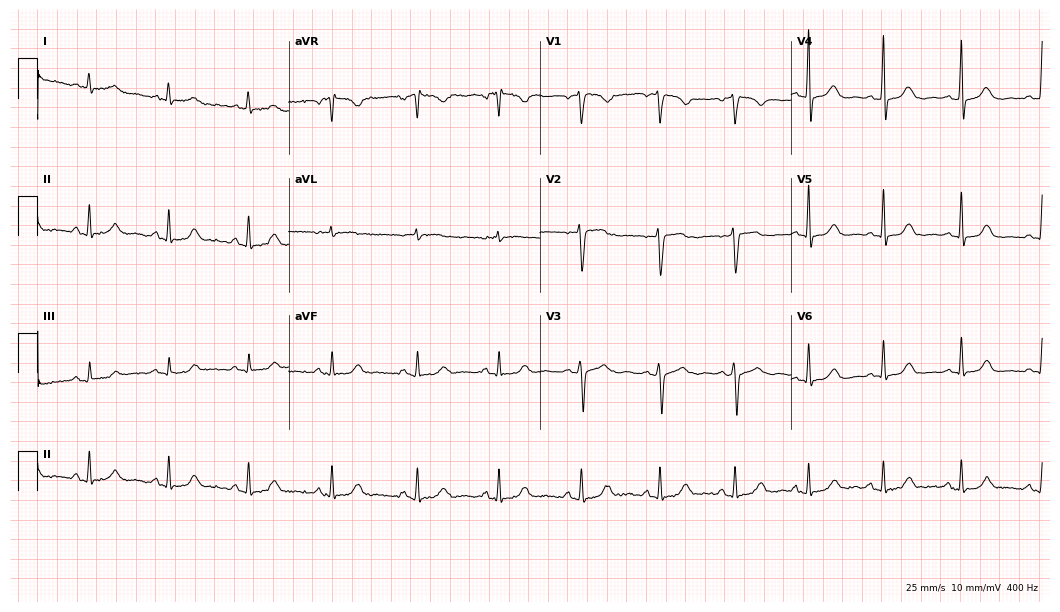
Standard 12-lead ECG recorded from a 49-year-old female (10.2-second recording at 400 Hz). Read as a normal ECG.